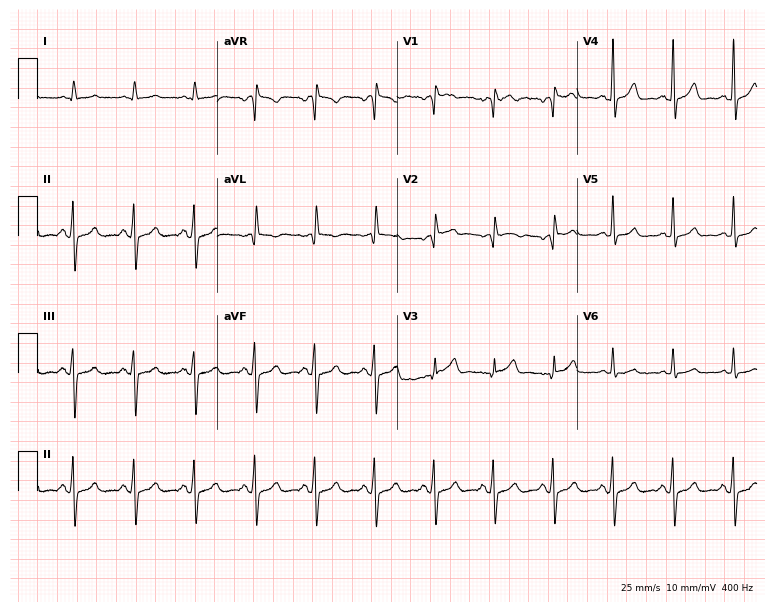
Resting 12-lead electrocardiogram. Patient: a male, 56 years old. None of these six findings is recorded: first-degree AV block, right bundle branch block (RBBB), left bundle branch block (LBBB), sinus bradycardia, atrial fibrillation (AF), sinus tachycardia. Findings outside these six are not listed.